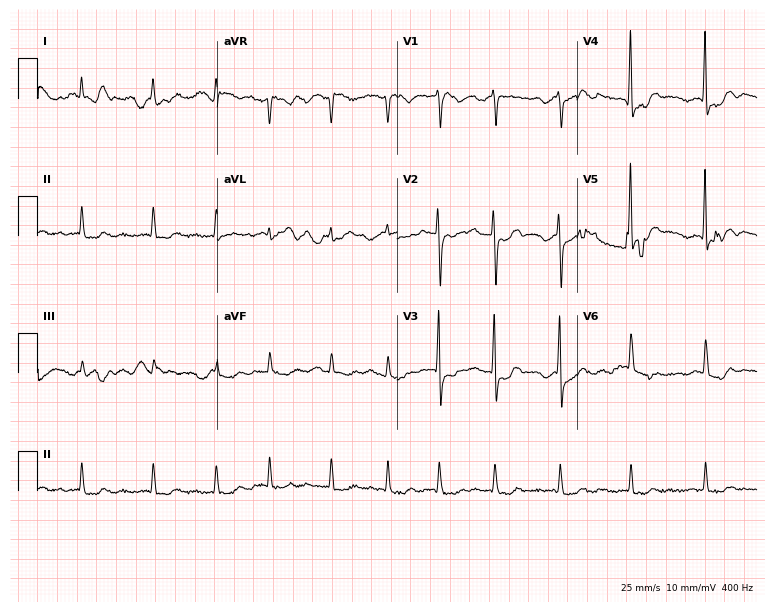
ECG (7.3-second recording at 400 Hz) — a female, 77 years old. Findings include atrial fibrillation.